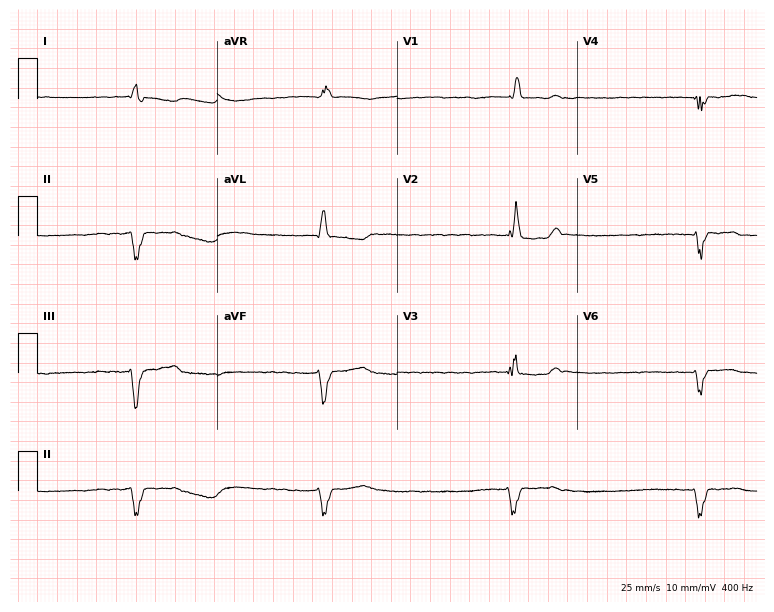
Electrocardiogram, a female patient, 86 years old. Of the six screened findings (first-degree AV block, right bundle branch block (RBBB), left bundle branch block (LBBB), sinus bradycardia, atrial fibrillation (AF), sinus tachycardia), none is recorded.